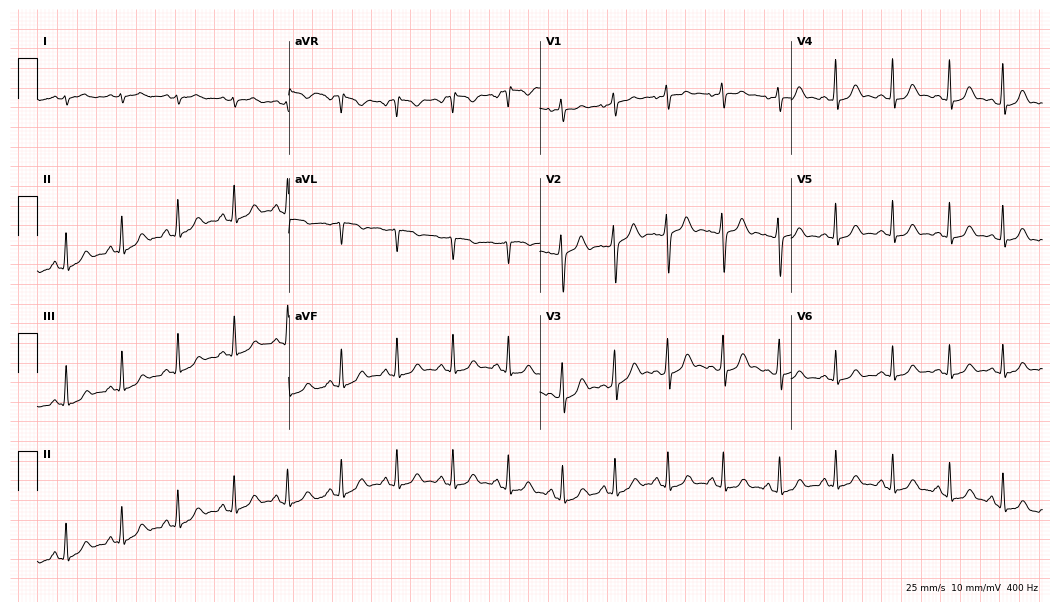
12-lead ECG (10.2-second recording at 400 Hz) from a 20-year-old female patient. Findings include sinus tachycardia (a sinus rate of 100 beats per minute or more).